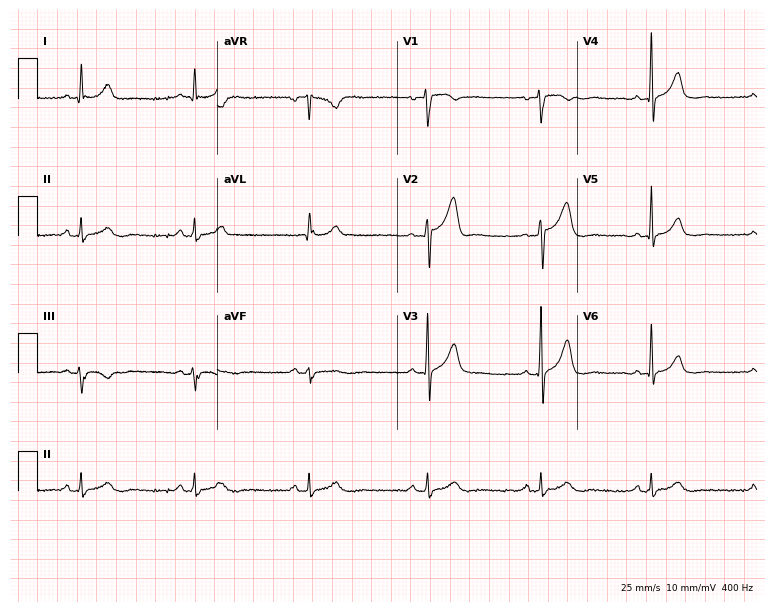
12-lead ECG from a male, 42 years old. Labelled as a normal ECG.